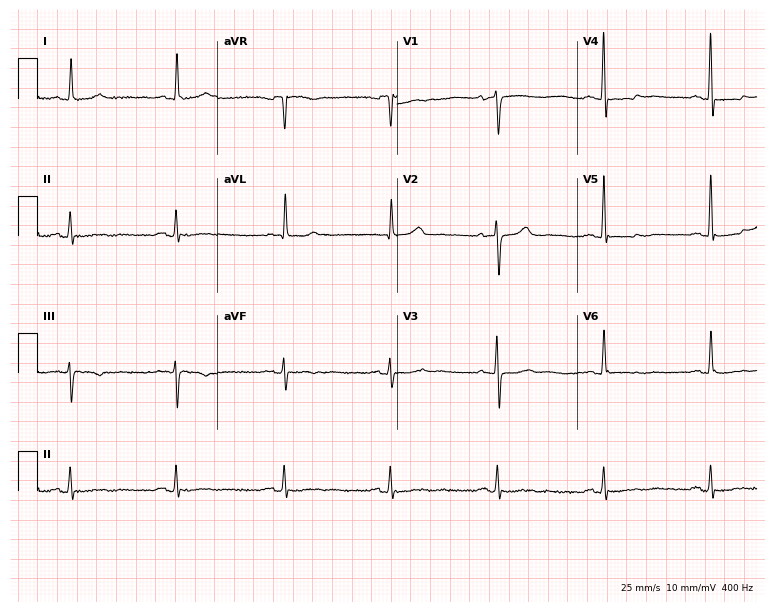
Resting 12-lead electrocardiogram. Patient: a 62-year-old woman. None of these six findings is recorded: first-degree AV block, right bundle branch block, left bundle branch block, sinus bradycardia, atrial fibrillation, sinus tachycardia. Other findings, if any, are not listed.